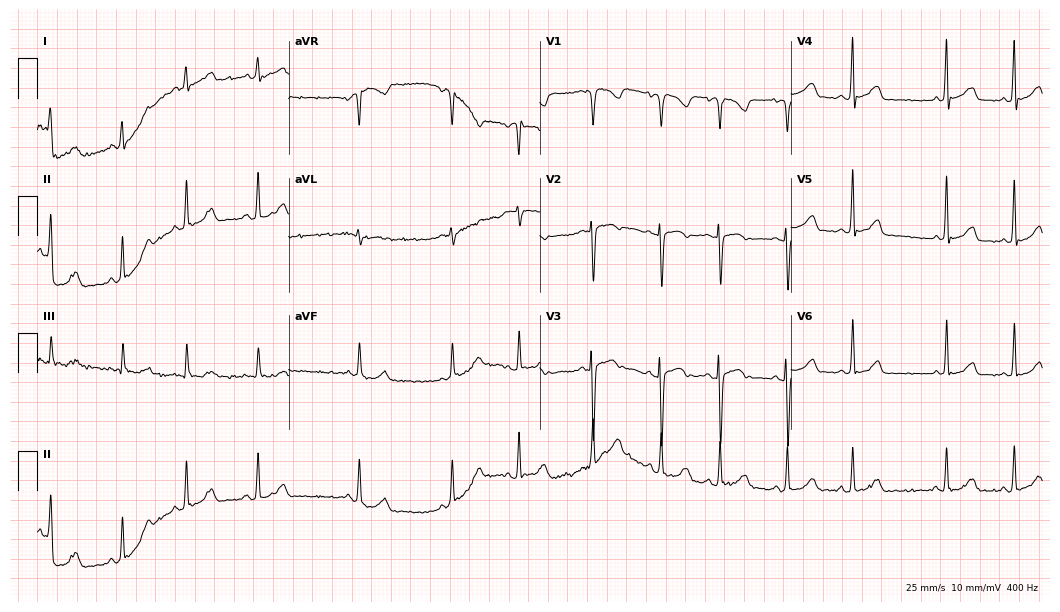
12-lead ECG (10.2-second recording at 400 Hz) from a male, 74 years old. Labelled as a normal ECG.